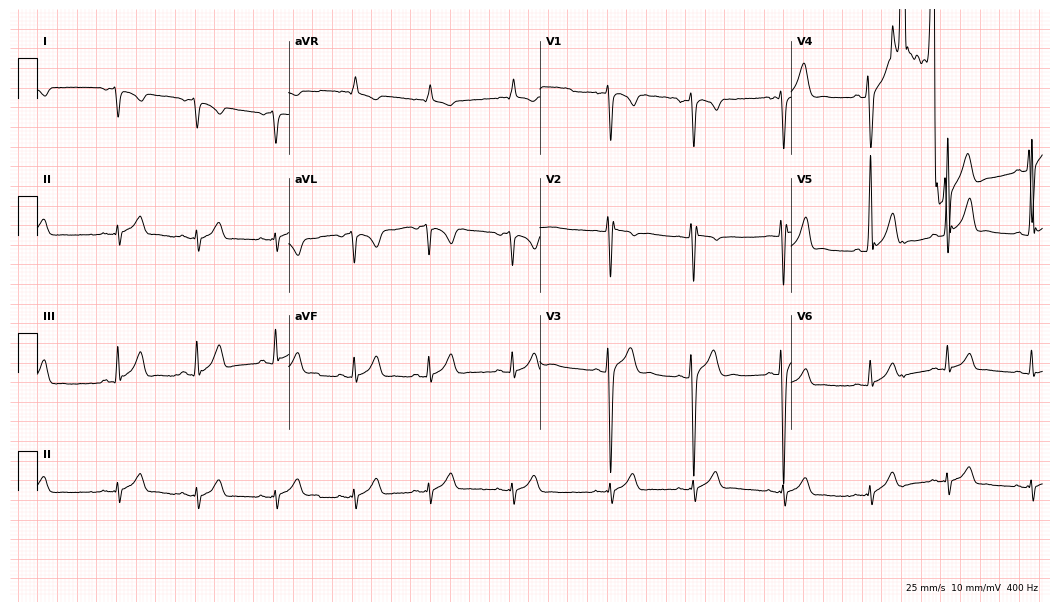
Resting 12-lead electrocardiogram (10.2-second recording at 400 Hz). Patient: an 18-year-old man. None of these six findings is recorded: first-degree AV block, right bundle branch block, left bundle branch block, sinus bradycardia, atrial fibrillation, sinus tachycardia.